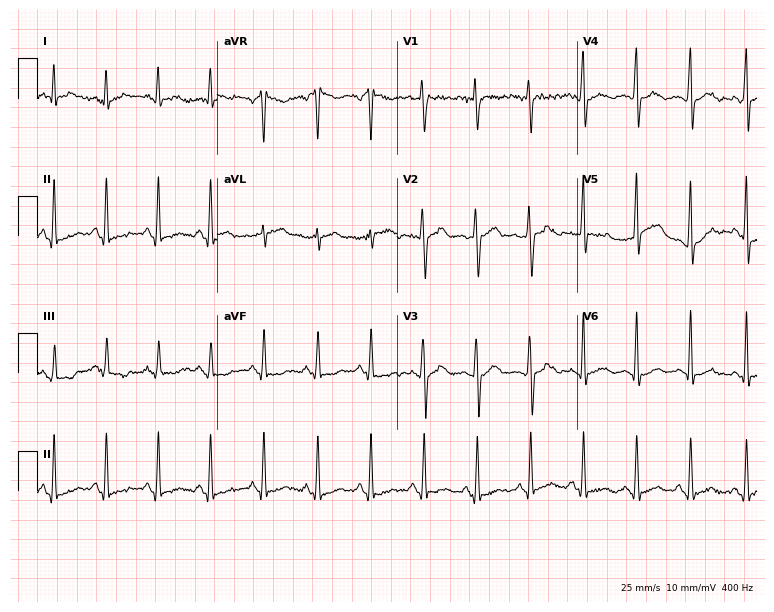
Electrocardiogram (7.3-second recording at 400 Hz), a 22-year-old male patient. Interpretation includes sinus tachycardia (a sinus rate of 100 beats per minute or more).